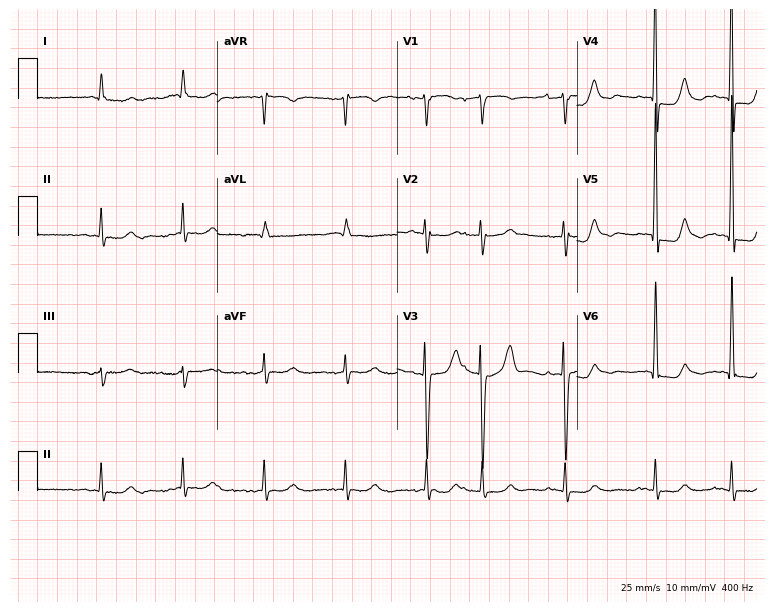
ECG — a male, 72 years old. Screened for six findings — first-degree AV block, right bundle branch block, left bundle branch block, sinus bradycardia, atrial fibrillation, sinus tachycardia — none is recorded. Other findings, if any, are not listed.